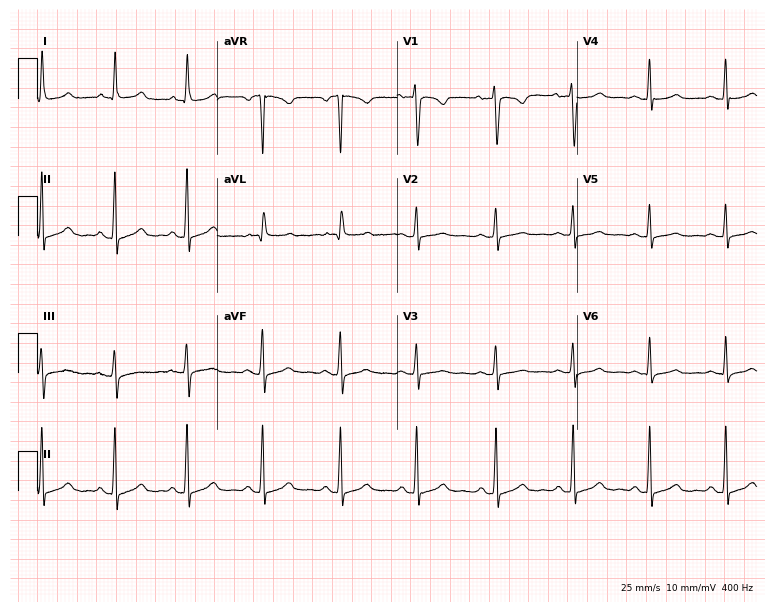
Electrocardiogram, a female patient, 36 years old. Overall reading on record: normal ECG.